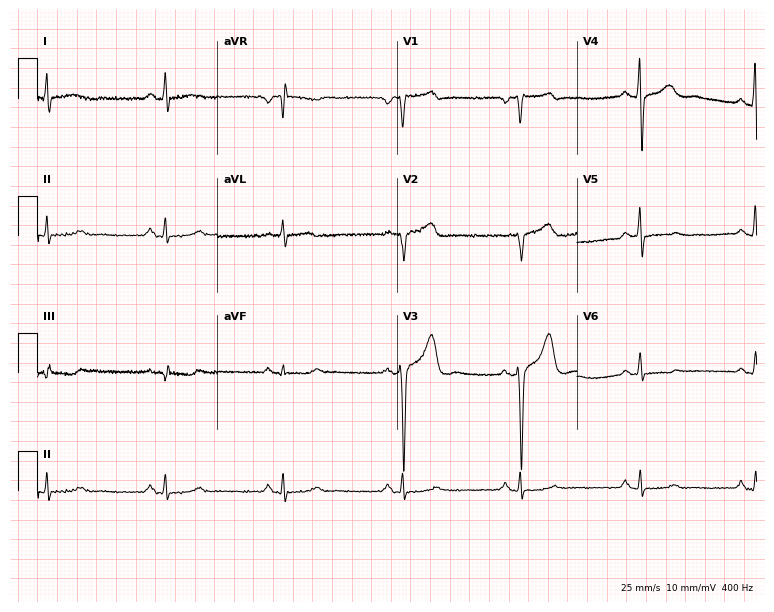
ECG — a male, 52 years old. Screened for six findings — first-degree AV block, right bundle branch block, left bundle branch block, sinus bradycardia, atrial fibrillation, sinus tachycardia — none is recorded.